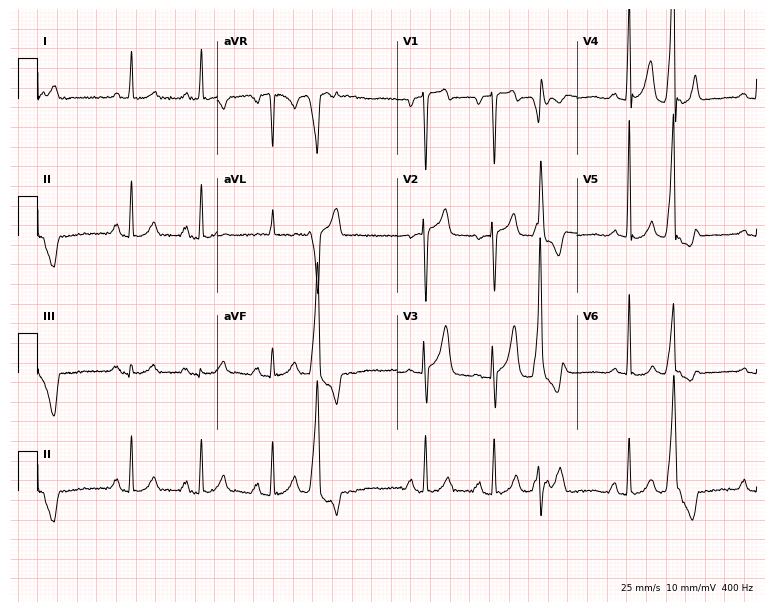
12-lead ECG from a 54-year-old man (7.3-second recording at 400 Hz). No first-degree AV block, right bundle branch block, left bundle branch block, sinus bradycardia, atrial fibrillation or sinus tachycardia recorded for this tracing.